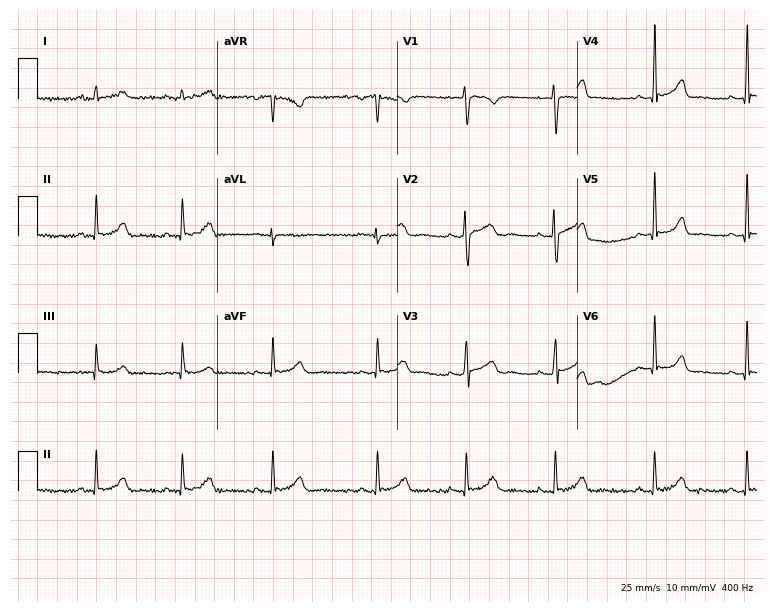
Electrocardiogram (7.3-second recording at 400 Hz), a woman, 26 years old. Overall reading on record: normal ECG.